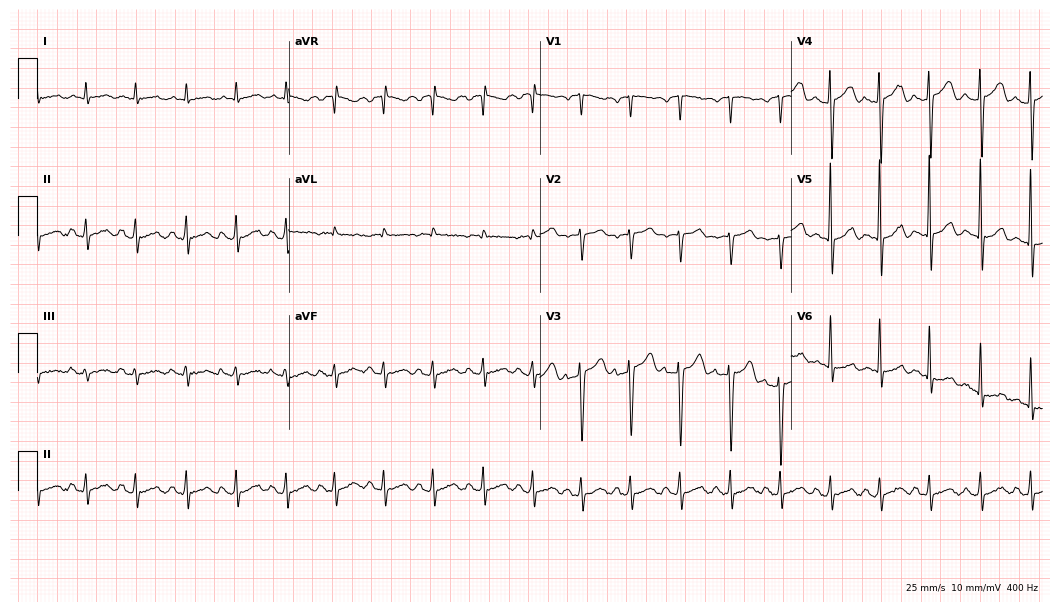
Standard 12-lead ECG recorded from a male patient, 51 years old (10.2-second recording at 400 Hz). The tracing shows sinus tachycardia (a sinus rate of 100 beats per minute or more).